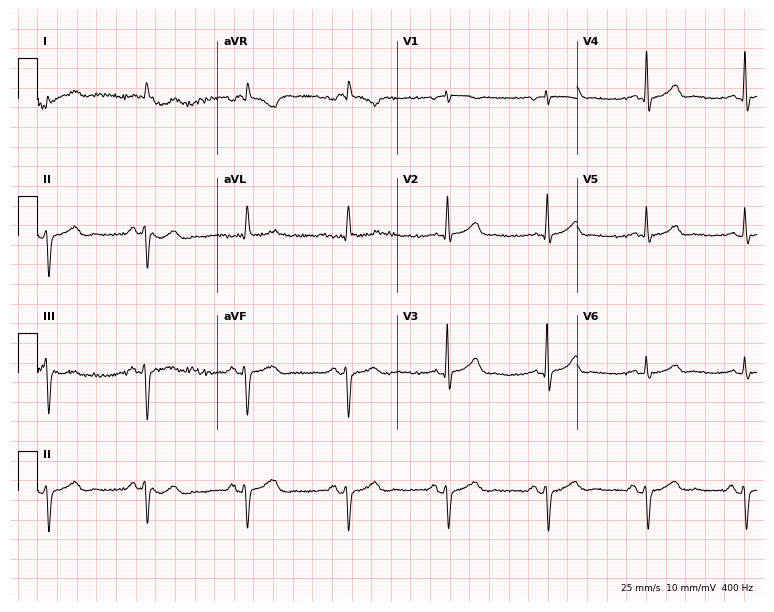
ECG (7.3-second recording at 400 Hz) — a 71-year-old male patient. Screened for six findings — first-degree AV block, right bundle branch block (RBBB), left bundle branch block (LBBB), sinus bradycardia, atrial fibrillation (AF), sinus tachycardia — none is recorded. Other findings, if any, are not listed.